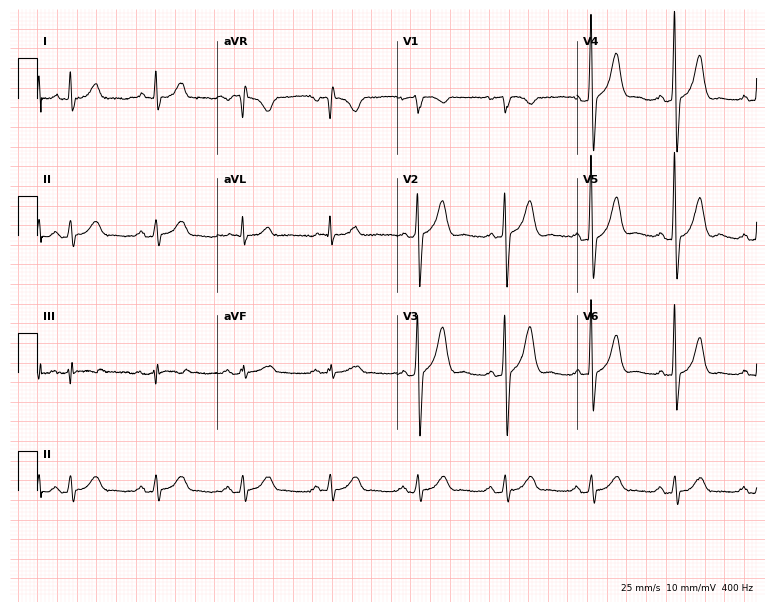
Standard 12-lead ECG recorded from a male, 52 years old (7.3-second recording at 400 Hz). Read as a normal ECG.